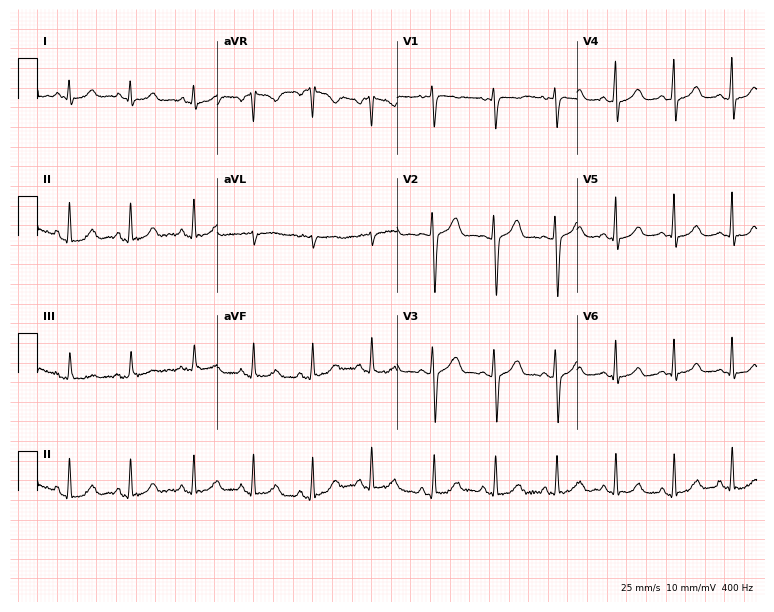
12-lead ECG from a female patient, 28 years old. Labelled as a normal ECG.